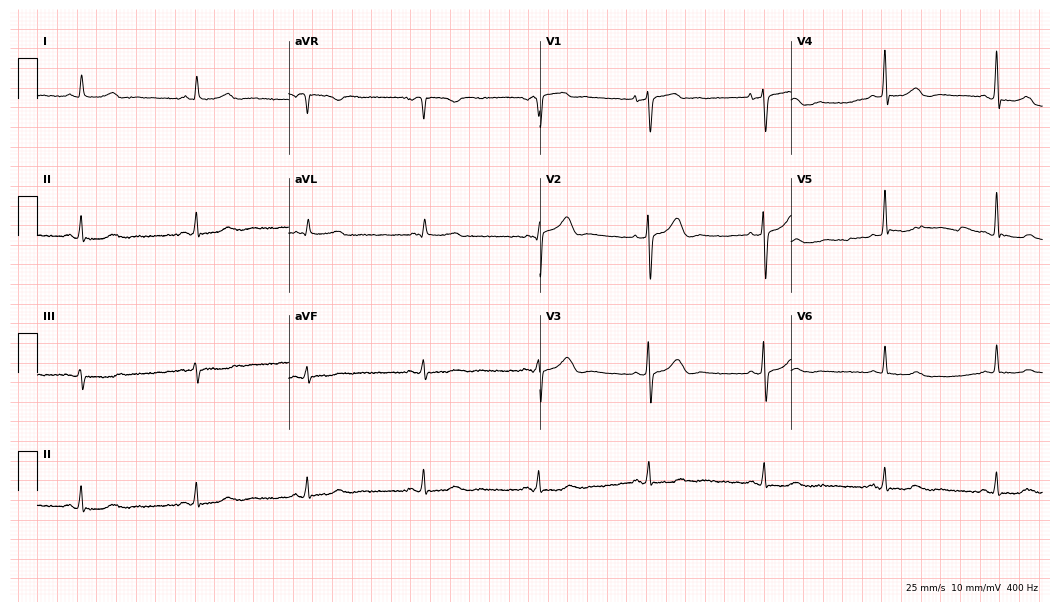
Resting 12-lead electrocardiogram. Patient: a female, 64 years old. None of these six findings is recorded: first-degree AV block, right bundle branch block, left bundle branch block, sinus bradycardia, atrial fibrillation, sinus tachycardia.